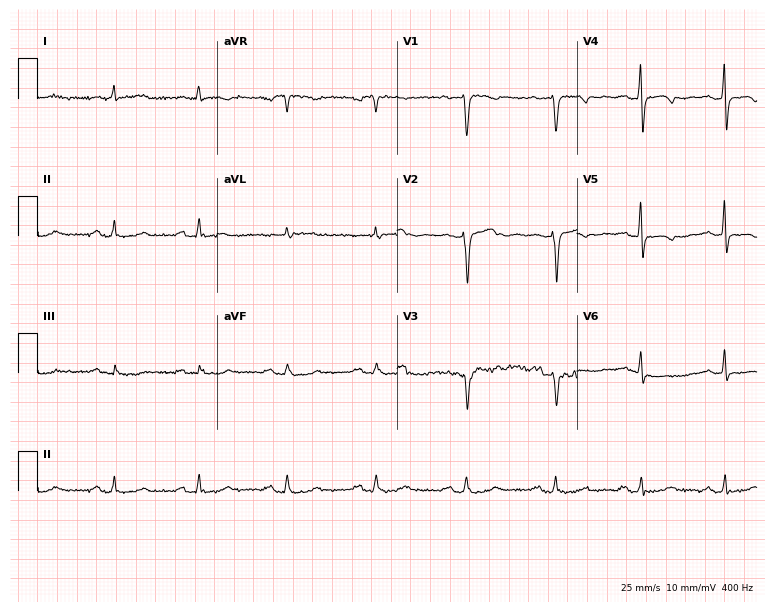
12-lead ECG from a 52-year-old woman (7.3-second recording at 400 Hz). No first-degree AV block, right bundle branch block (RBBB), left bundle branch block (LBBB), sinus bradycardia, atrial fibrillation (AF) or sinus tachycardia recorded for this tracing.